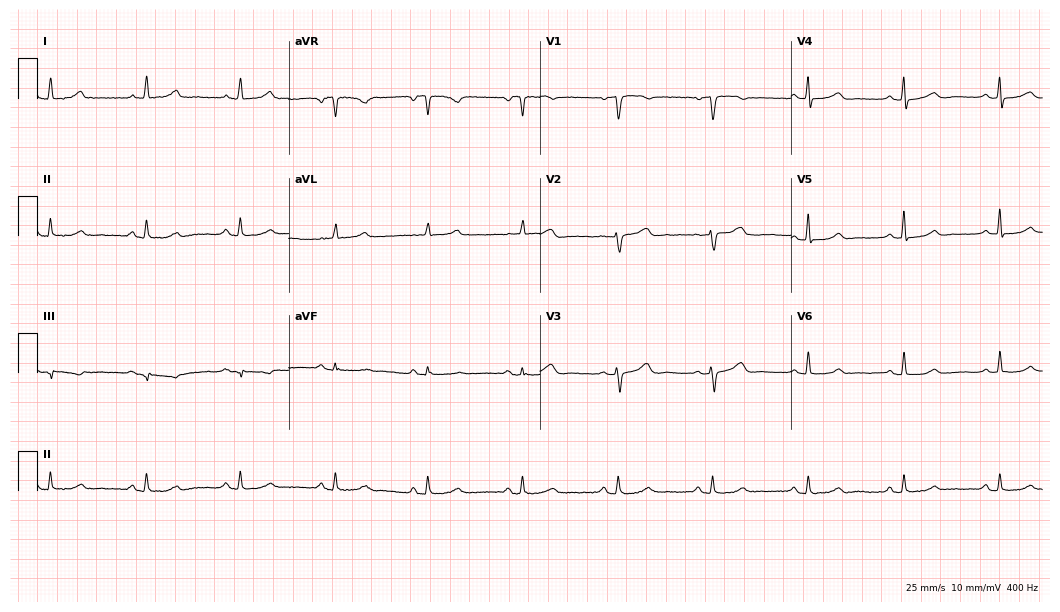
12-lead ECG from a female, 73 years old. Labelled as a normal ECG.